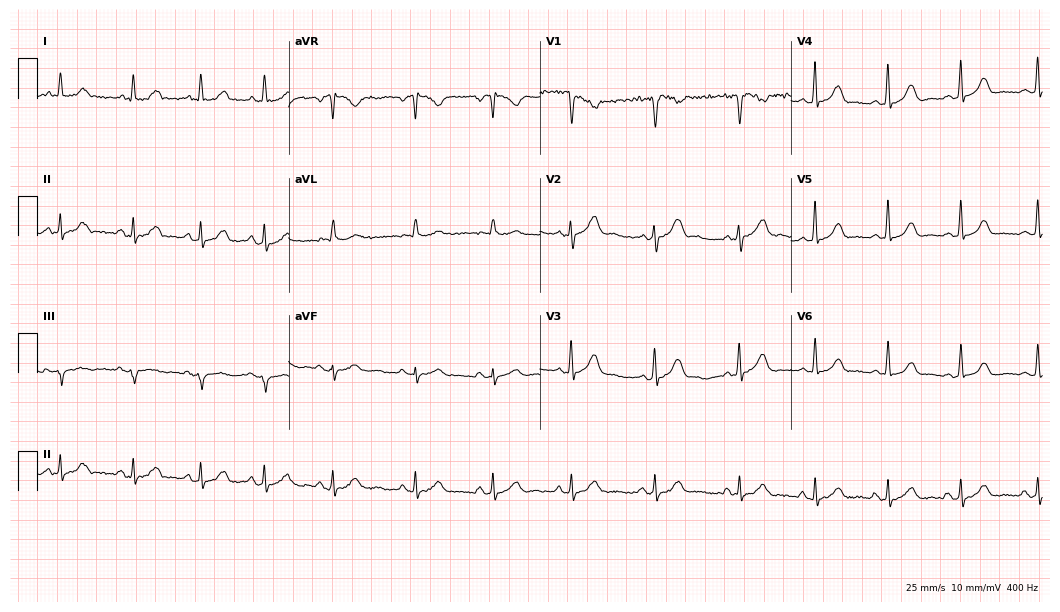
Electrocardiogram, a female patient, 34 years old. Overall reading on record: normal ECG.